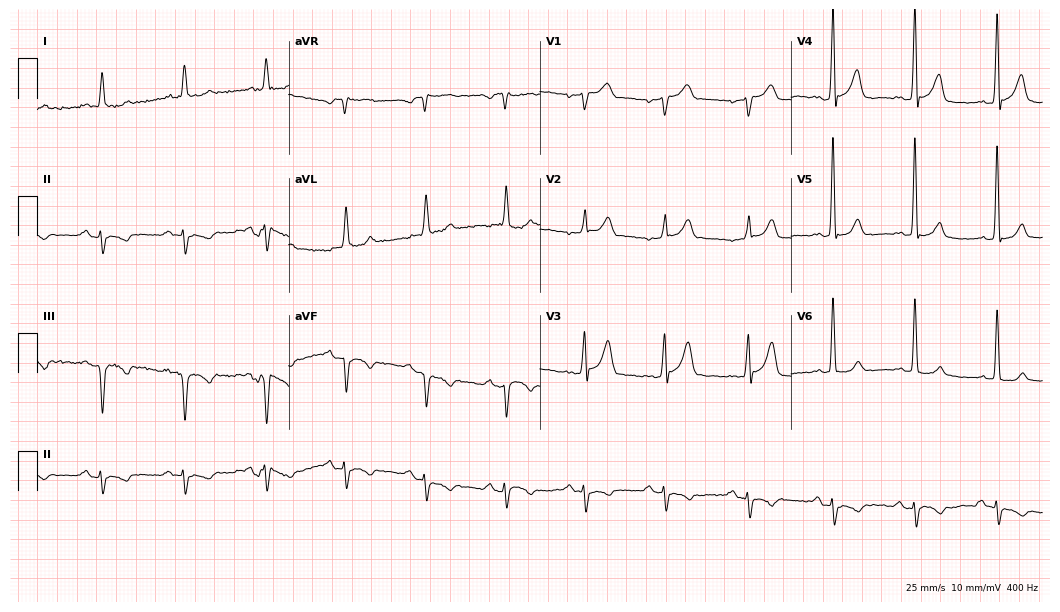
Resting 12-lead electrocardiogram (10.2-second recording at 400 Hz). Patient: a 79-year-old male. None of these six findings is recorded: first-degree AV block, right bundle branch block, left bundle branch block, sinus bradycardia, atrial fibrillation, sinus tachycardia.